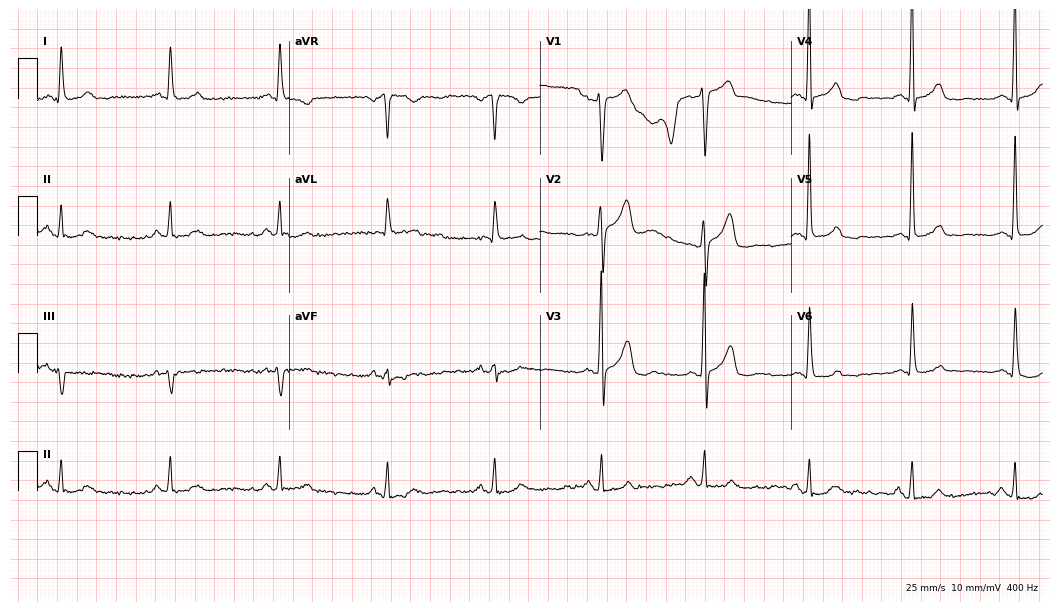
12-lead ECG from a 49-year-old woman. Recorded interpretation: within normal limits.